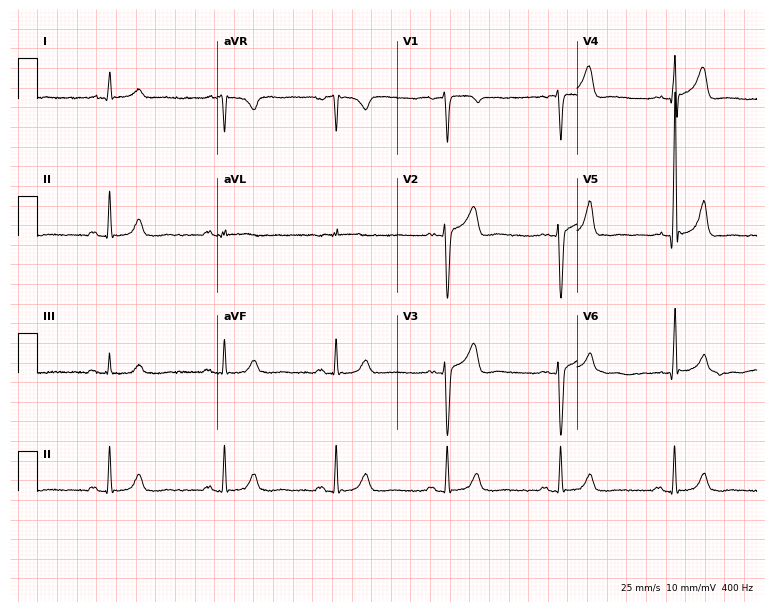
Standard 12-lead ECG recorded from a man, 73 years old (7.3-second recording at 400 Hz). Read as a normal ECG.